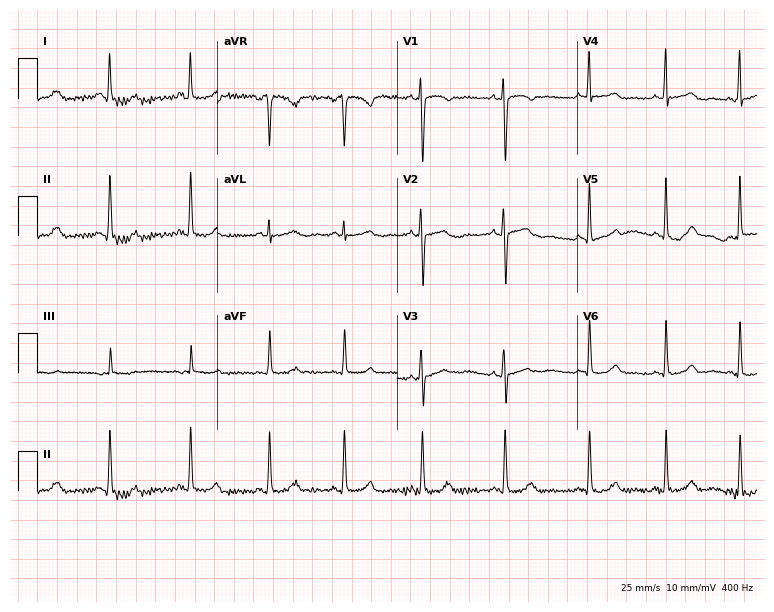
Resting 12-lead electrocardiogram (7.3-second recording at 400 Hz). Patient: a female, 35 years old. None of these six findings is recorded: first-degree AV block, right bundle branch block, left bundle branch block, sinus bradycardia, atrial fibrillation, sinus tachycardia. Other findings, if any, are not listed.